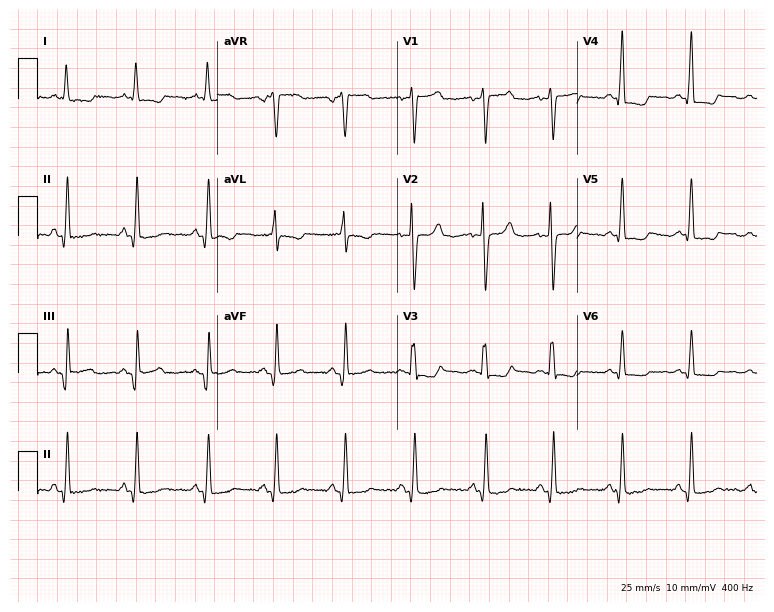
Electrocardiogram, a woman, 73 years old. Of the six screened findings (first-degree AV block, right bundle branch block (RBBB), left bundle branch block (LBBB), sinus bradycardia, atrial fibrillation (AF), sinus tachycardia), none is recorded.